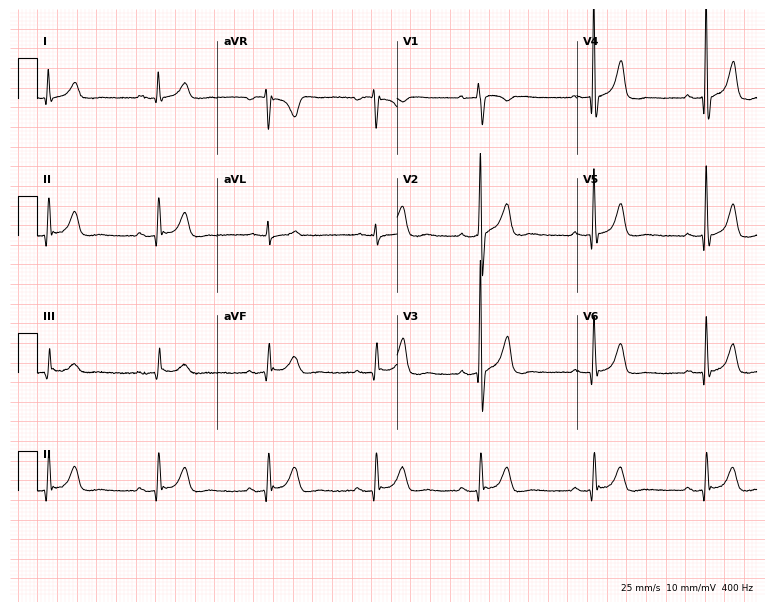
Electrocardiogram (7.3-second recording at 400 Hz), a 55-year-old male. Of the six screened findings (first-degree AV block, right bundle branch block (RBBB), left bundle branch block (LBBB), sinus bradycardia, atrial fibrillation (AF), sinus tachycardia), none is recorded. Findings outside these six are not listed.